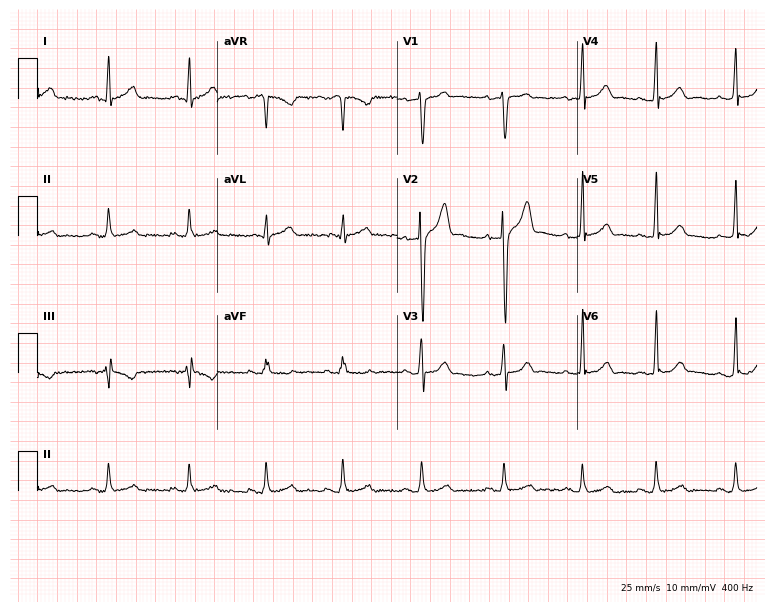
Resting 12-lead electrocardiogram (7.3-second recording at 400 Hz). Patient: a male, 33 years old. Read as a normal ECG.